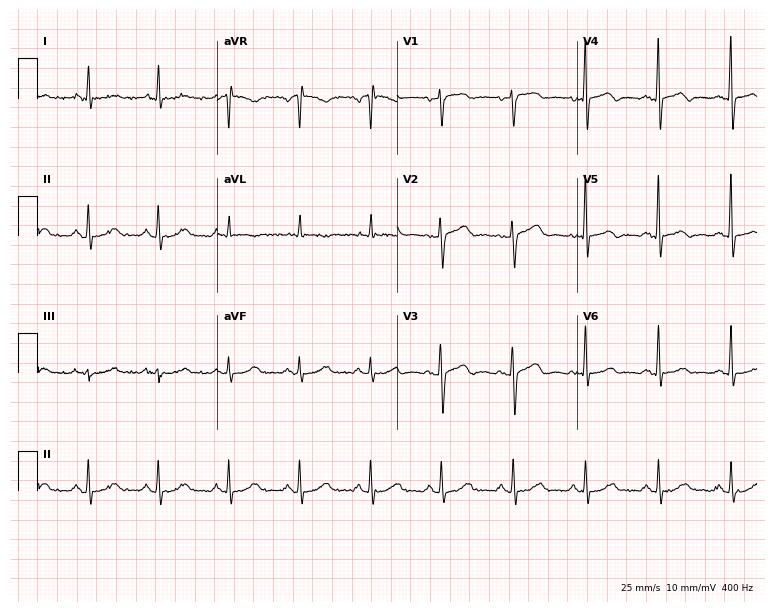
Electrocardiogram, a 67-year-old female patient. Overall reading on record: normal ECG.